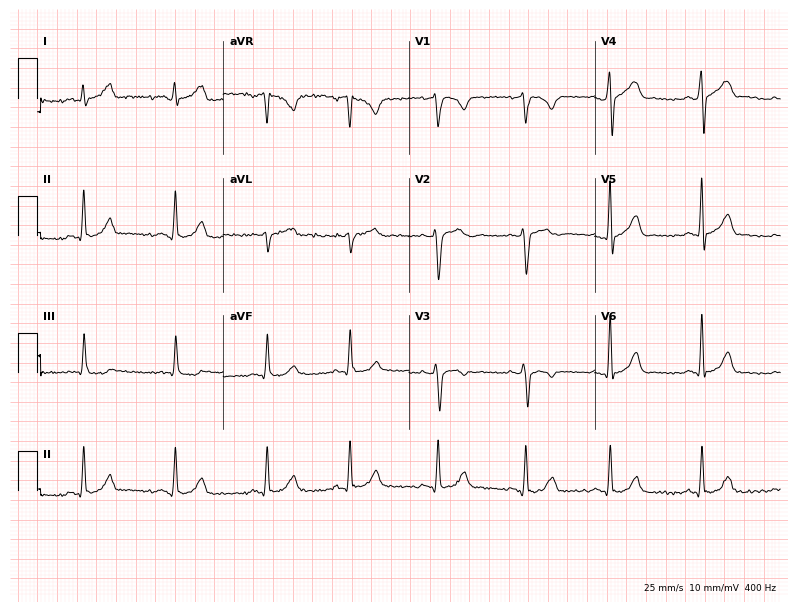
12-lead ECG (7.6-second recording at 400 Hz) from a male patient, 28 years old. Labelled as a normal ECG.